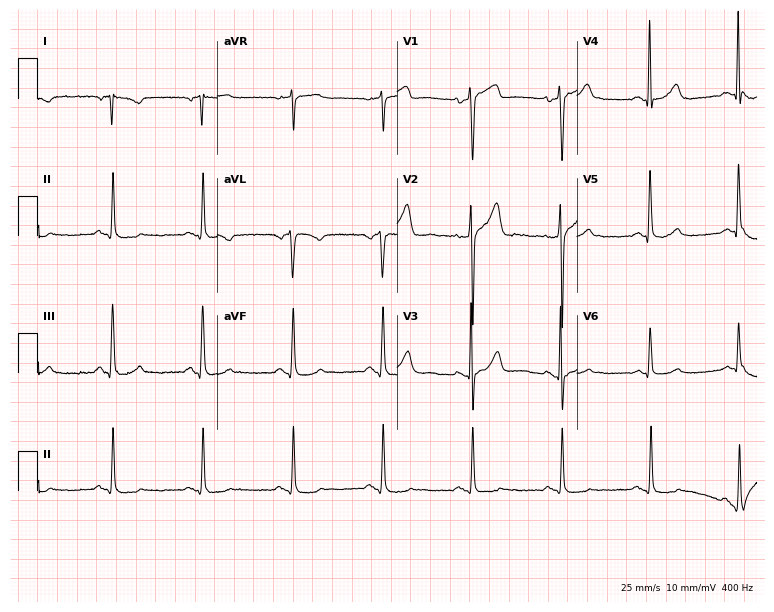
12-lead ECG from a male, 62 years old (7.3-second recording at 400 Hz). Recorded interpretation: within normal limits.